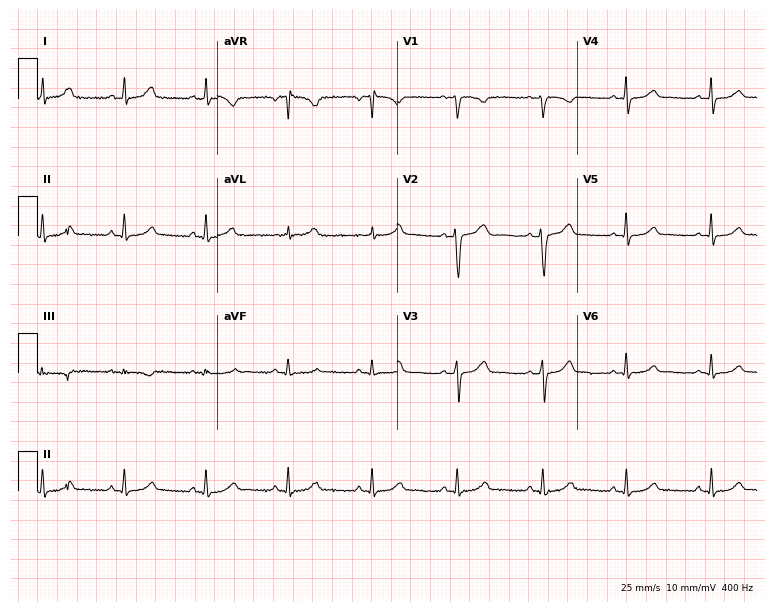
ECG (7.3-second recording at 400 Hz) — a 39-year-old female patient. Labelled as a normal ECG.